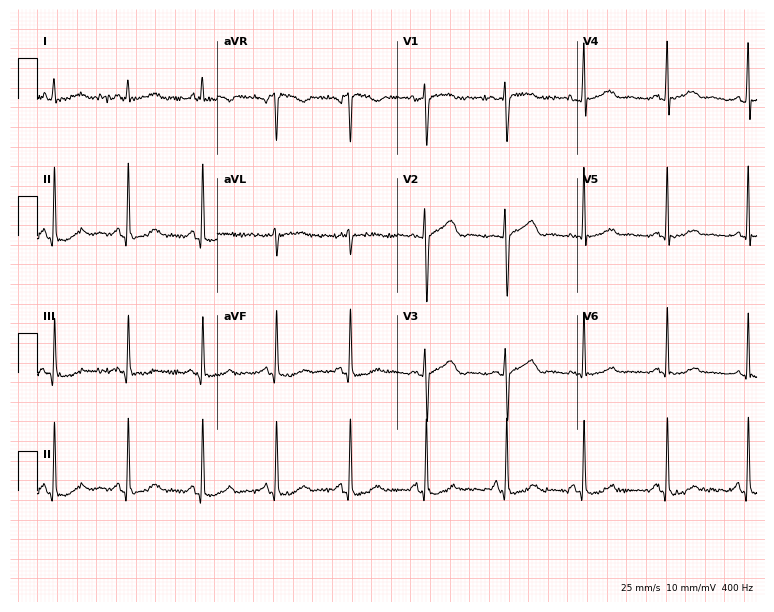
12-lead ECG from a woman, 43 years old (7.3-second recording at 400 Hz). No first-degree AV block, right bundle branch block, left bundle branch block, sinus bradycardia, atrial fibrillation or sinus tachycardia recorded for this tracing.